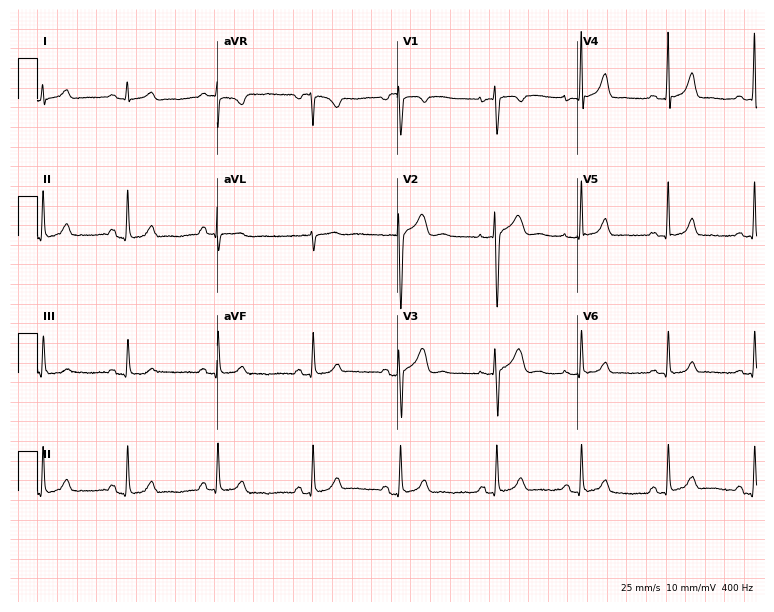
Electrocardiogram (7.3-second recording at 400 Hz), an 18-year-old female. Overall reading on record: normal ECG.